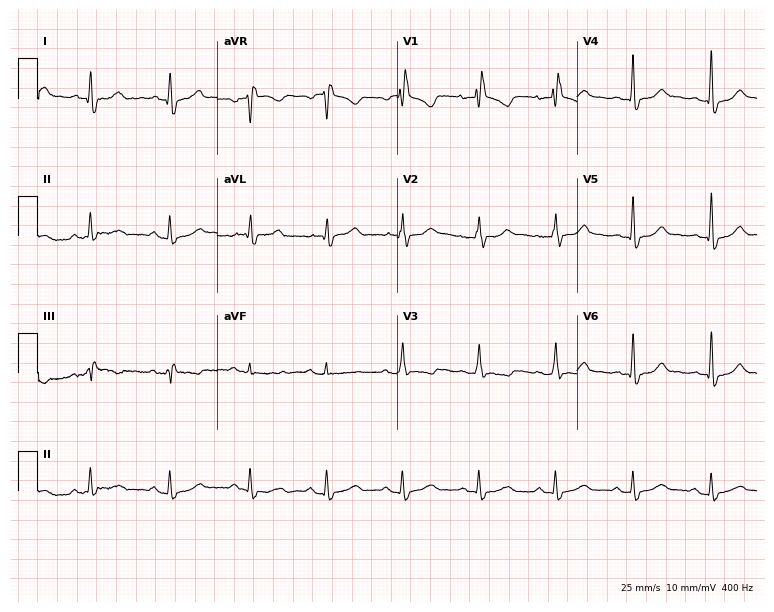
12-lead ECG (7.3-second recording at 400 Hz) from a 43-year-old female. Findings include right bundle branch block.